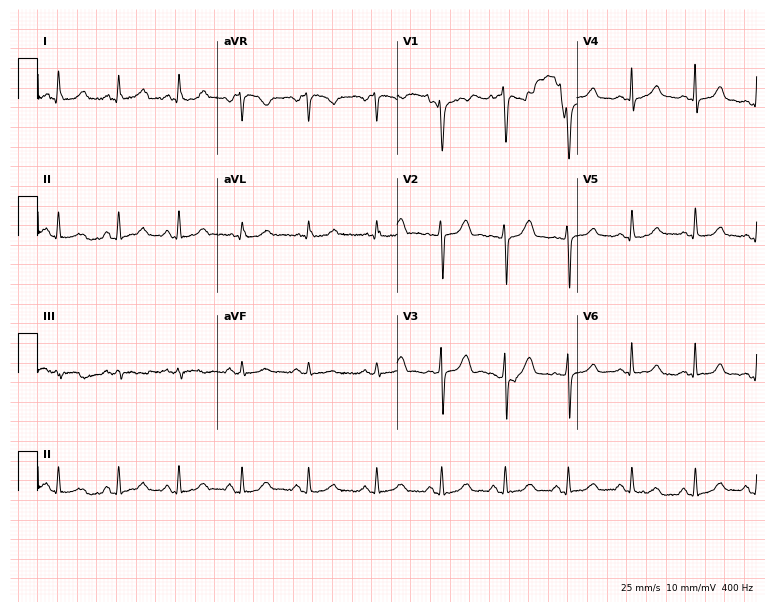
Resting 12-lead electrocardiogram. Patient: a woman, 34 years old. Read as a normal ECG.